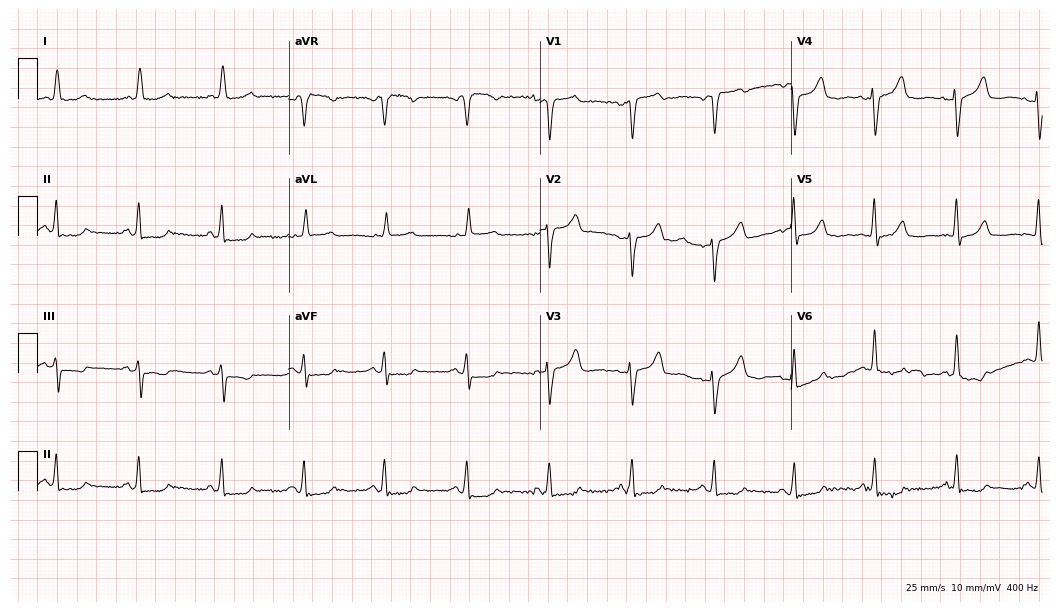
12-lead ECG from a 66-year-old female. Screened for six findings — first-degree AV block, right bundle branch block (RBBB), left bundle branch block (LBBB), sinus bradycardia, atrial fibrillation (AF), sinus tachycardia — none is recorded.